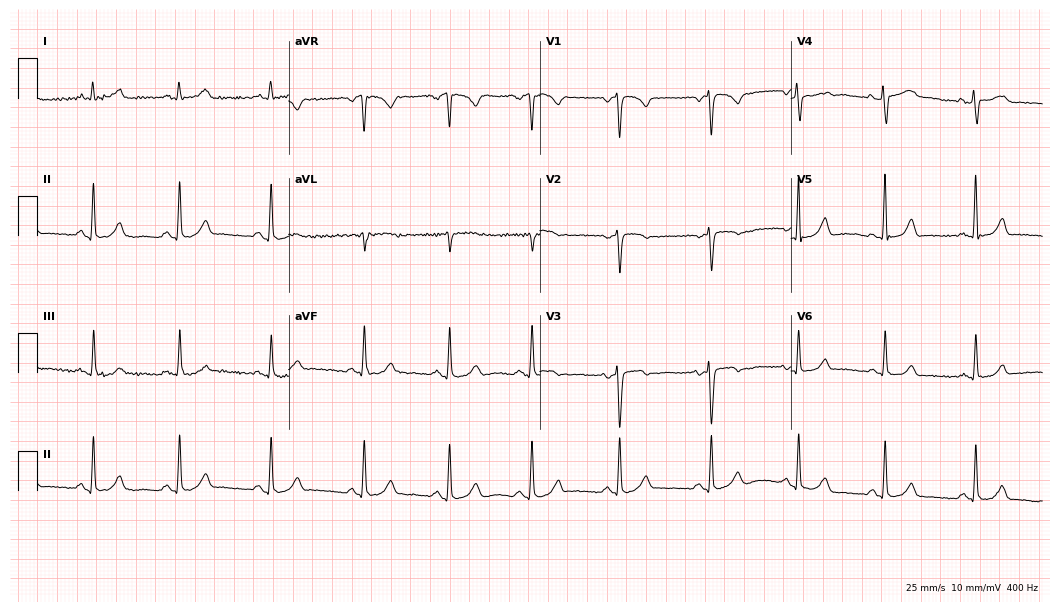
Electrocardiogram (10.2-second recording at 400 Hz), a female patient, 42 years old. Overall reading on record: normal ECG.